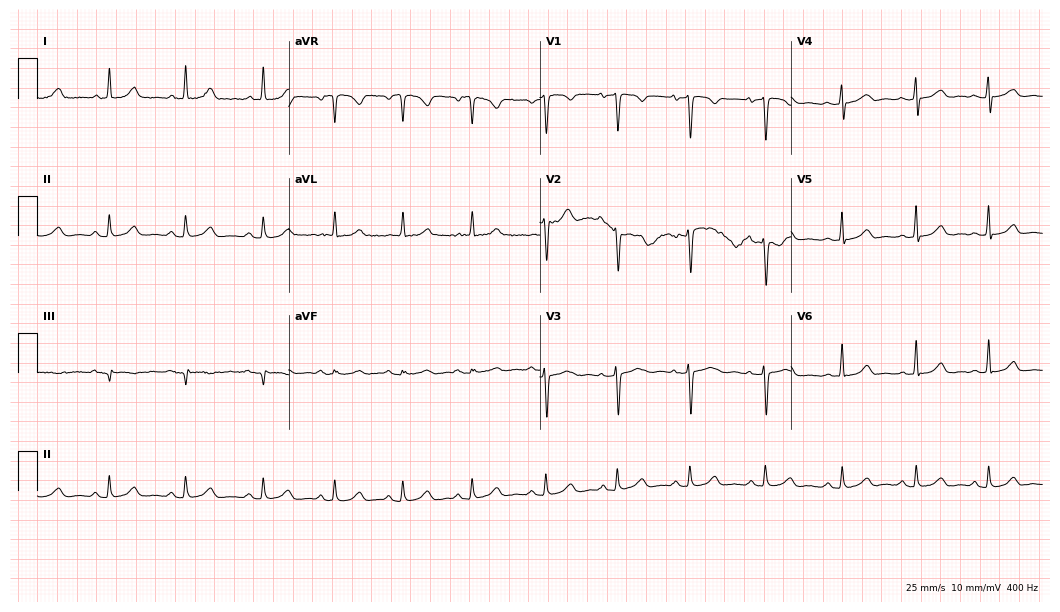
ECG — a 40-year-old woman. Labelled as a normal ECG.